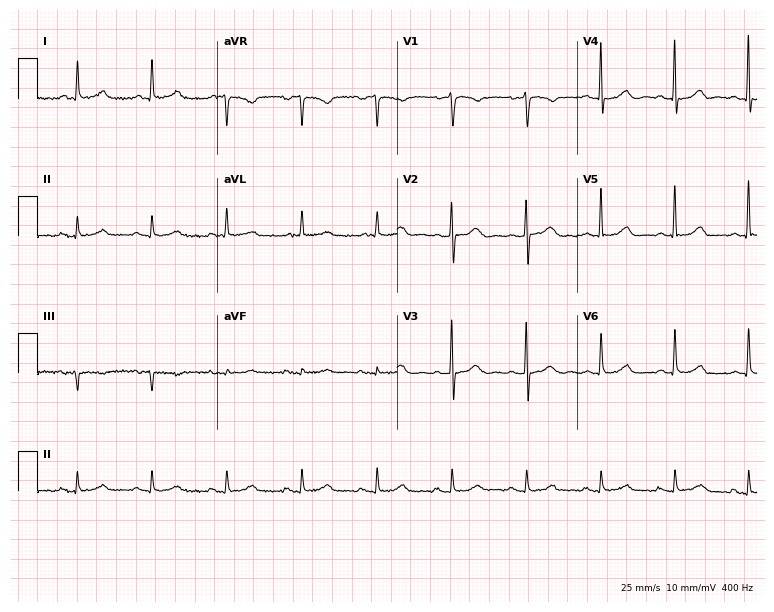
12-lead ECG from a 72-year-old female patient. Recorded interpretation: within normal limits.